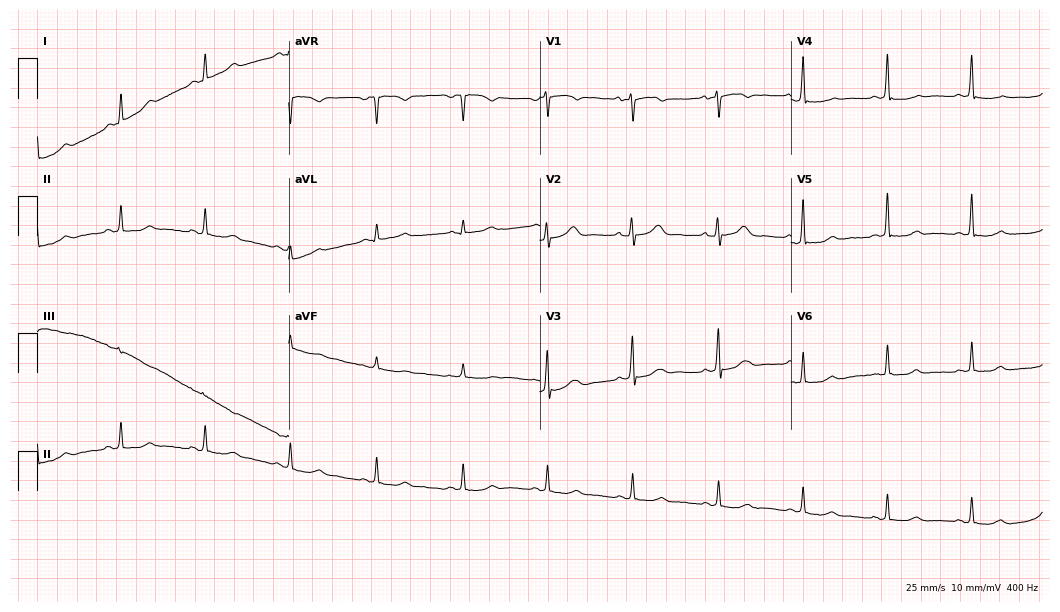
ECG — a 49-year-old female. Screened for six findings — first-degree AV block, right bundle branch block, left bundle branch block, sinus bradycardia, atrial fibrillation, sinus tachycardia — none is recorded. Findings outside these six are not listed.